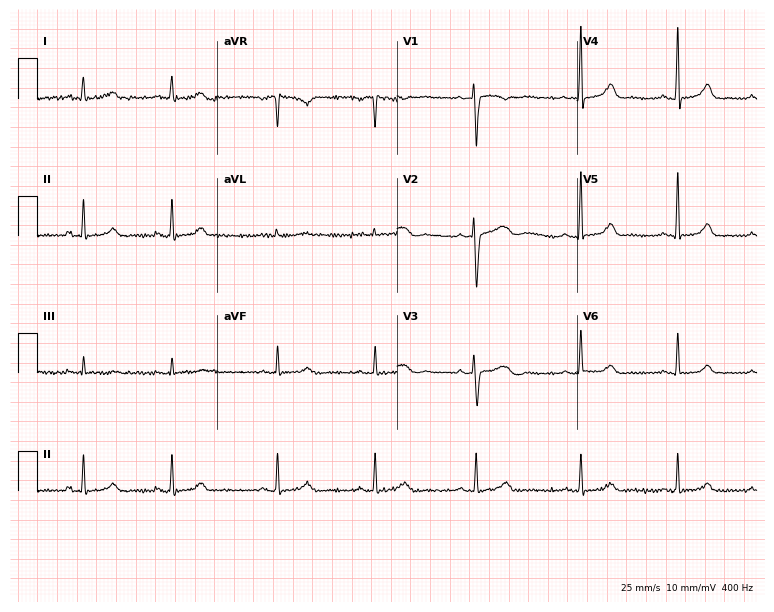
Resting 12-lead electrocardiogram. Patient: a female, 37 years old. Read as a normal ECG.